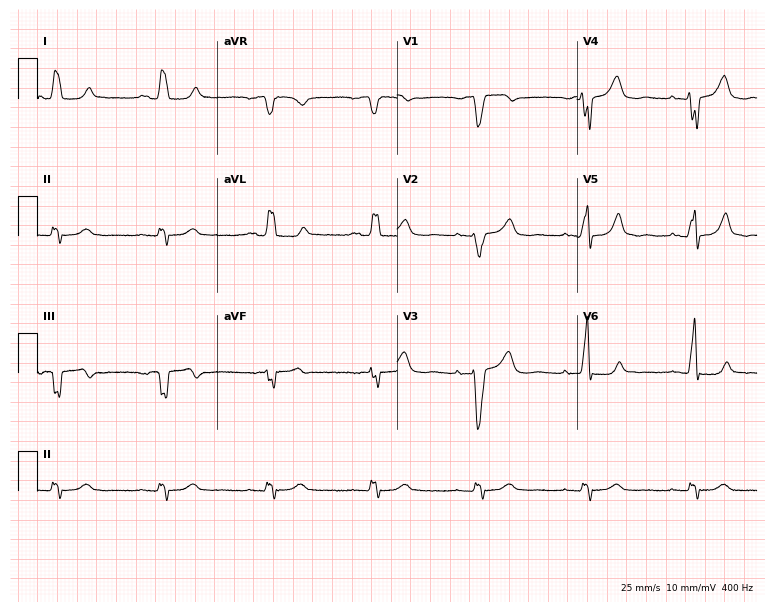
12-lead ECG (7.3-second recording at 400 Hz) from a 74-year-old female. Findings include left bundle branch block.